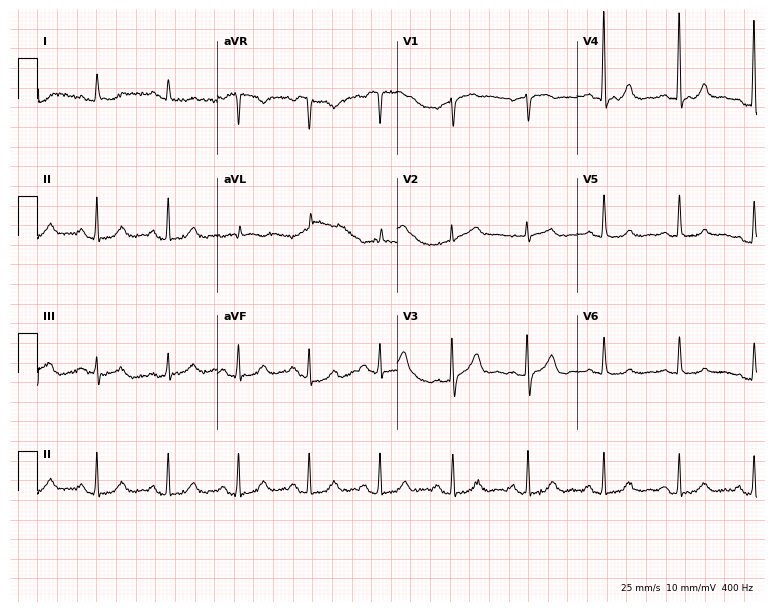
12-lead ECG from a woman, 84 years old (7.3-second recording at 400 Hz). No first-degree AV block, right bundle branch block, left bundle branch block, sinus bradycardia, atrial fibrillation or sinus tachycardia recorded for this tracing. Findings outside these six are not listed.